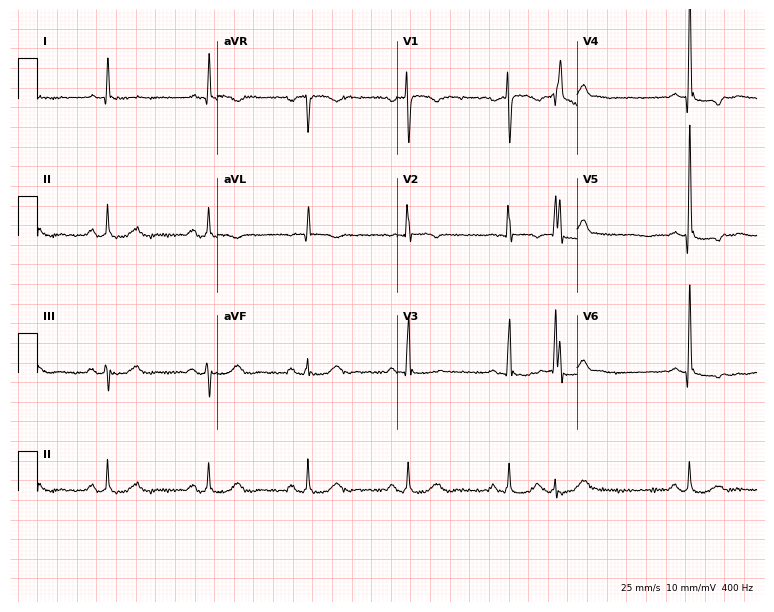
Electrocardiogram (7.3-second recording at 400 Hz), a 76-year-old man. Of the six screened findings (first-degree AV block, right bundle branch block (RBBB), left bundle branch block (LBBB), sinus bradycardia, atrial fibrillation (AF), sinus tachycardia), none is recorded.